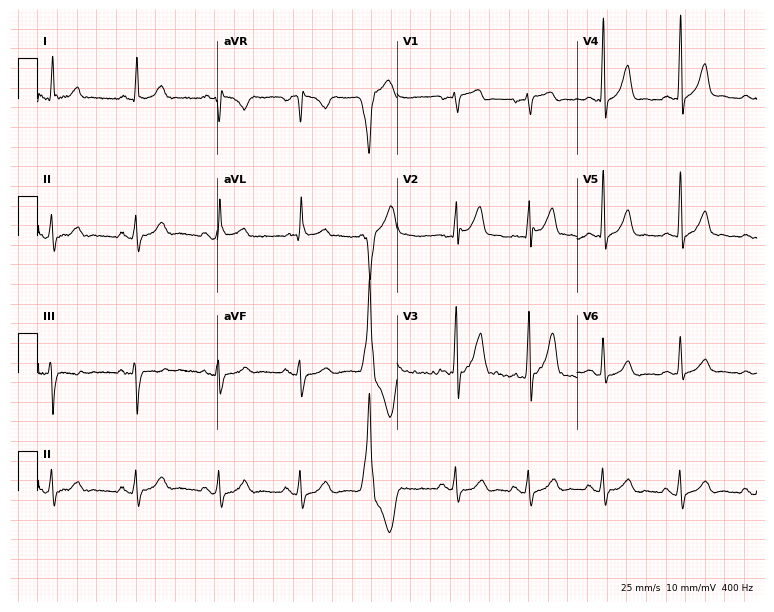
Resting 12-lead electrocardiogram (7.3-second recording at 400 Hz). Patient: a male, 77 years old. None of these six findings is recorded: first-degree AV block, right bundle branch block, left bundle branch block, sinus bradycardia, atrial fibrillation, sinus tachycardia.